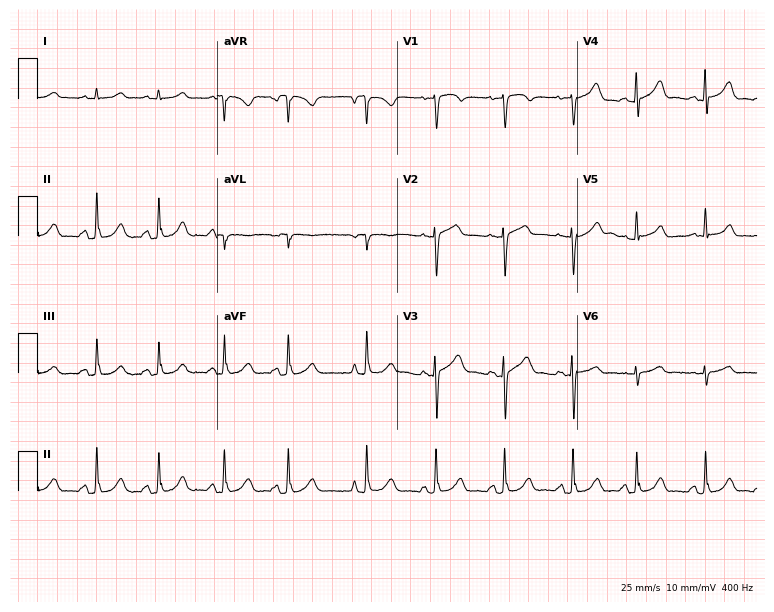
12-lead ECG (7.3-second recording at 400 Hz) from a 60-year-old male. Screened for six findings — first-degree AV block, right bundle branch block, left bundle branch block, sinus bradycardia, atrial fibrillation, sinus tachycardia — none is recorded.